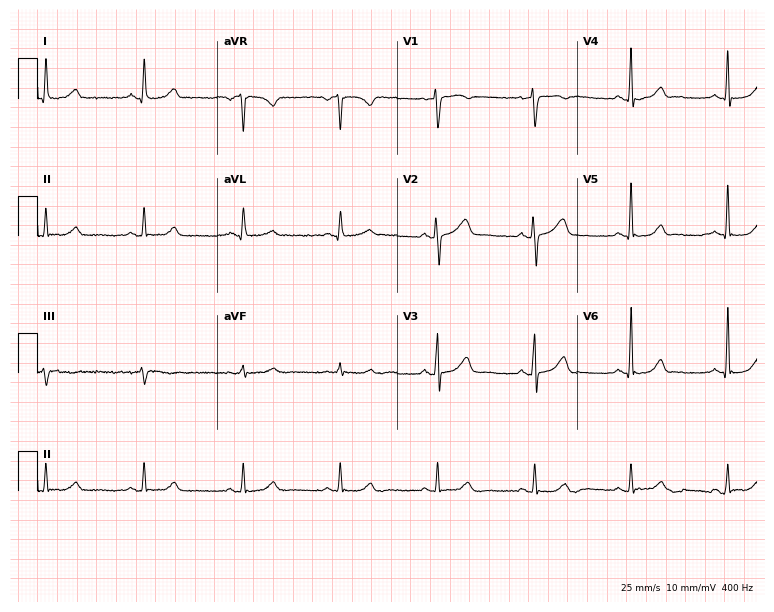
12-lead ECG from a female, 58 years old. Recorded interpretation: within normal limits.